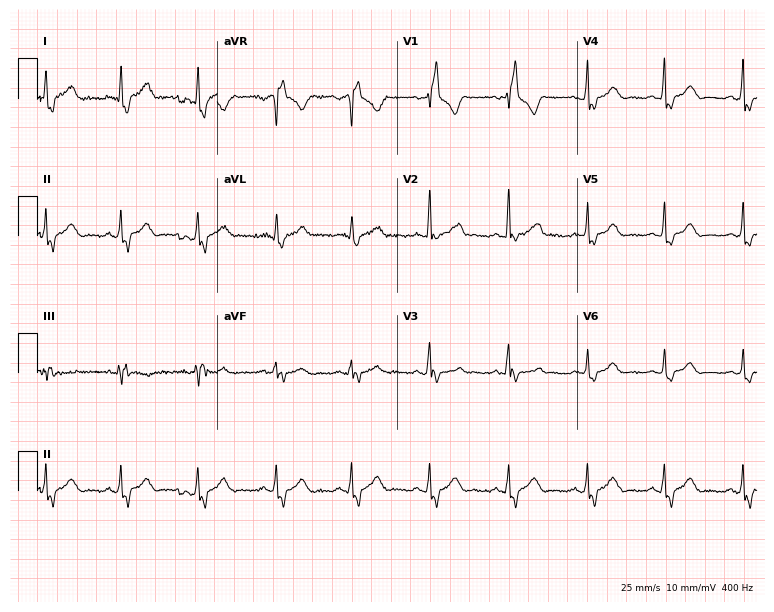
Standard 12-lead ECG recorded from a 39-year-old woman. The tracing shows right bundle branch block.